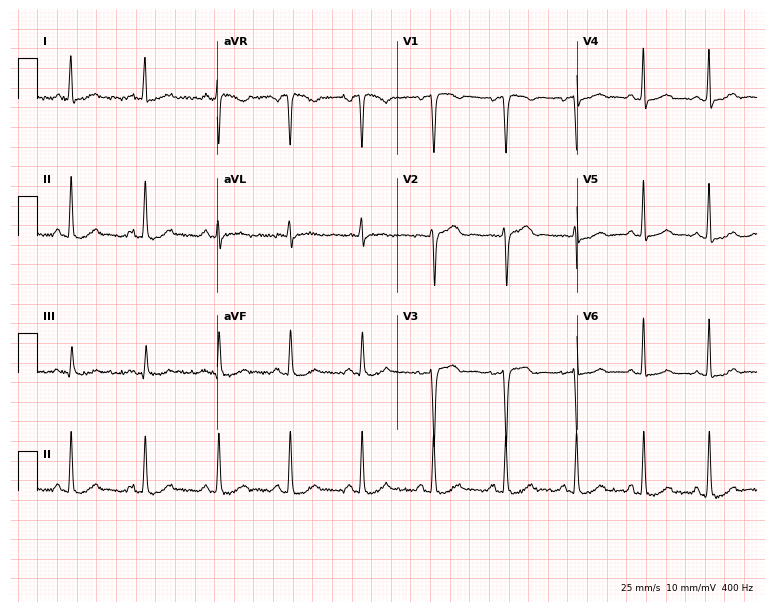
Standard 12-lead ECG recorded from a female, 30 years old. Read as a normal ECG.